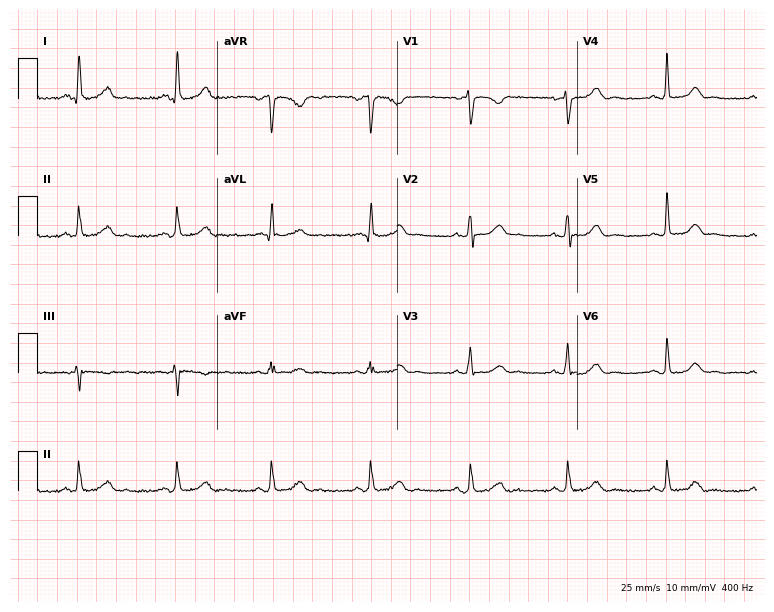
12-lead ECG (7.3-second recording at 400 Hz) from a female patient, 41 years old. Labelled as a normal ECG.